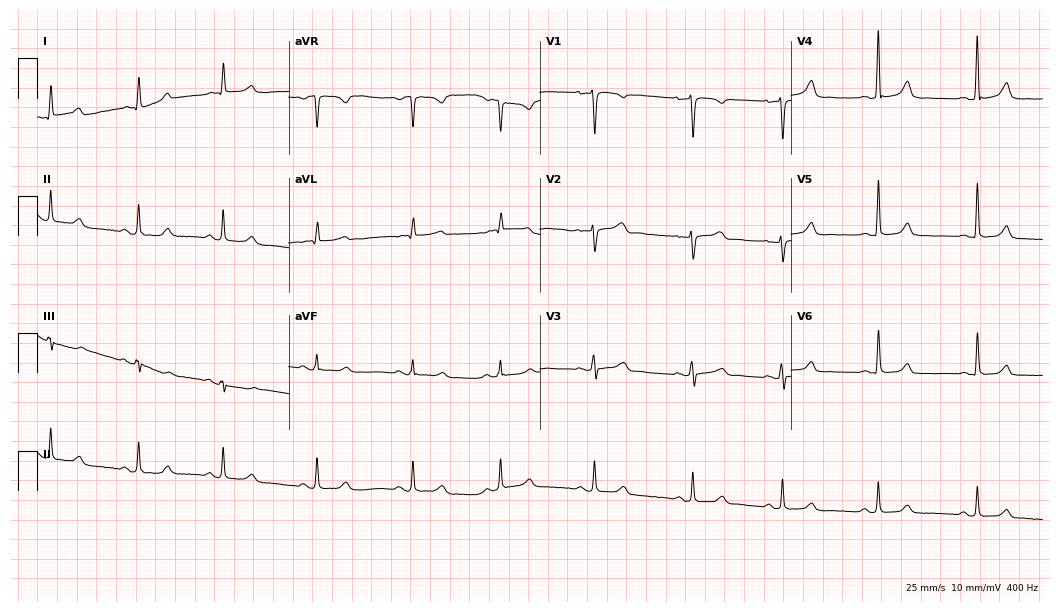
12-lead ECG from a female, 43 years old (10.2-second recording at 400 Hz). Recorded interpretation: within normal limits.